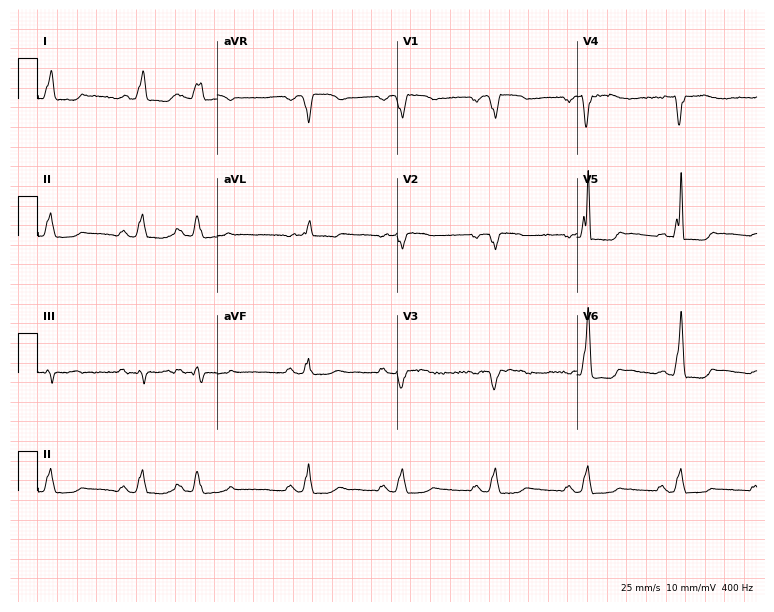
Resting 12-lead electrocardiogram. Patient: a man, 83 years old. The tracing shows left bundle branch block.